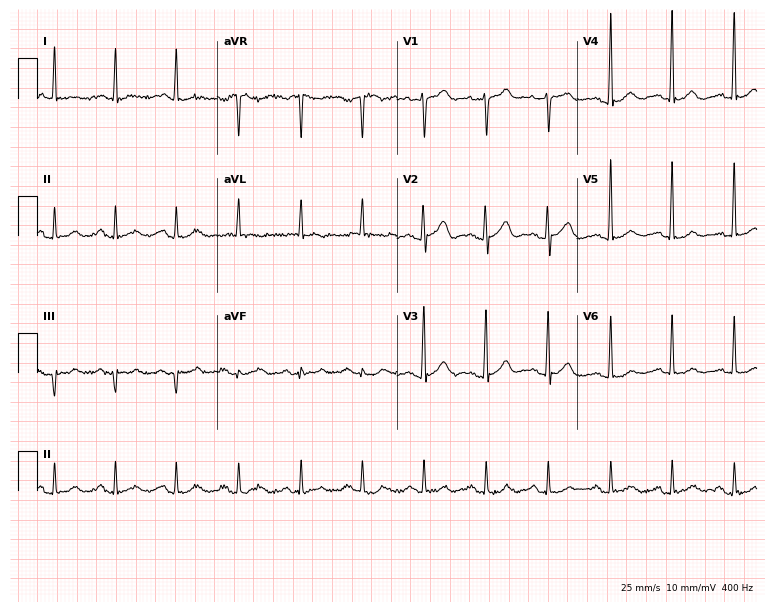
Electrocardiogram (7.3-second recording at 400 Hz), a man, 81 years old. Of the six screened findings (first-degree AV block, right bundle branch block, left bundle branch block, sinus bradycardia, atrial fibrillation, sinus tachycardia), none is recorded.